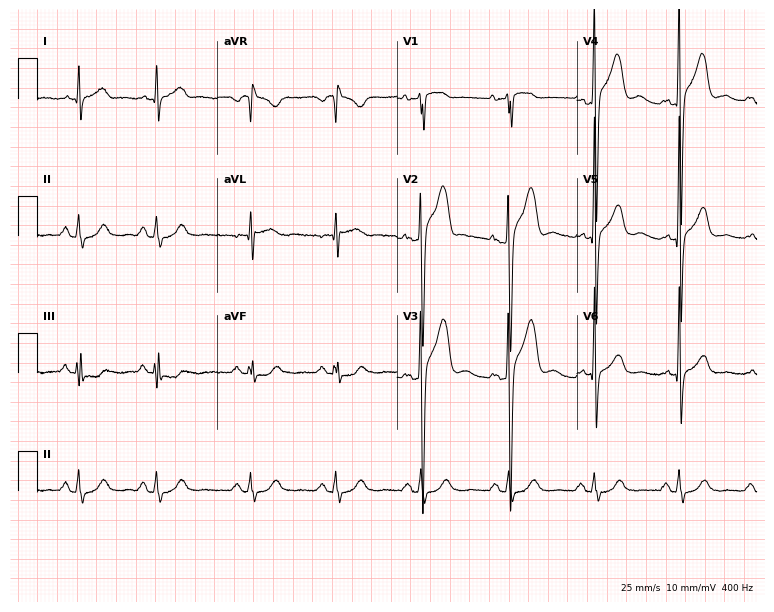
Resting 12-lead electrocardiogram. Patient: a 43-year-old male. None of these six findings is recorded: first-degree AV block, right bundle branch block, left bundle branch block, sinus bradycardia, atrial fibrillation, sinus tachycardia.